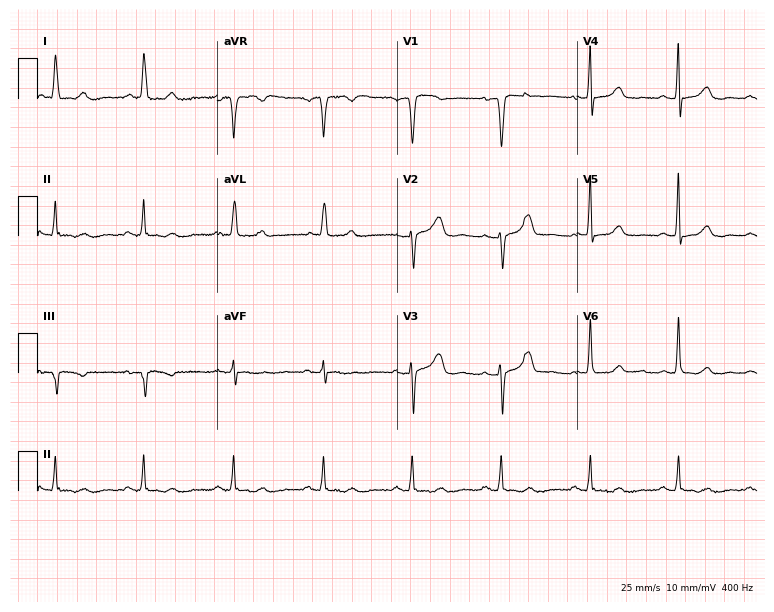
Standard 12-lead ECG recorded from a woman, 69 years old (7.3-second recording at 400 Hz). None of these six findings is recorded: first-degree AV block, right bundle branch block, left bundle branch block, sinus bradycardia, atrial fibrillation, sinus tachycardia. Other findings, if any, are not listed.